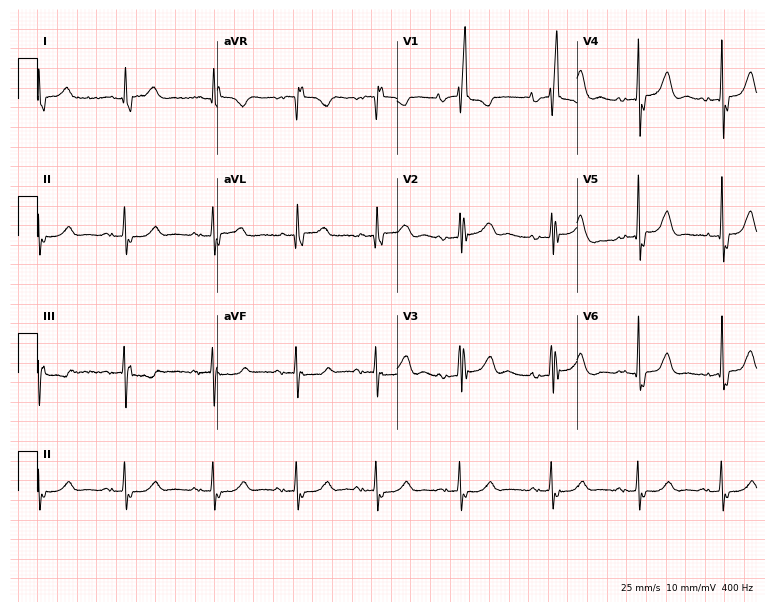
12-lead ECG from an 82-year-old woman. No first-degree AV block, right bundle branch block, left bundle branch block, sinus bradycardia, atrial fibrillation or sinus tachycardia recorded for this tracing. Other findings, if any, are not listed.